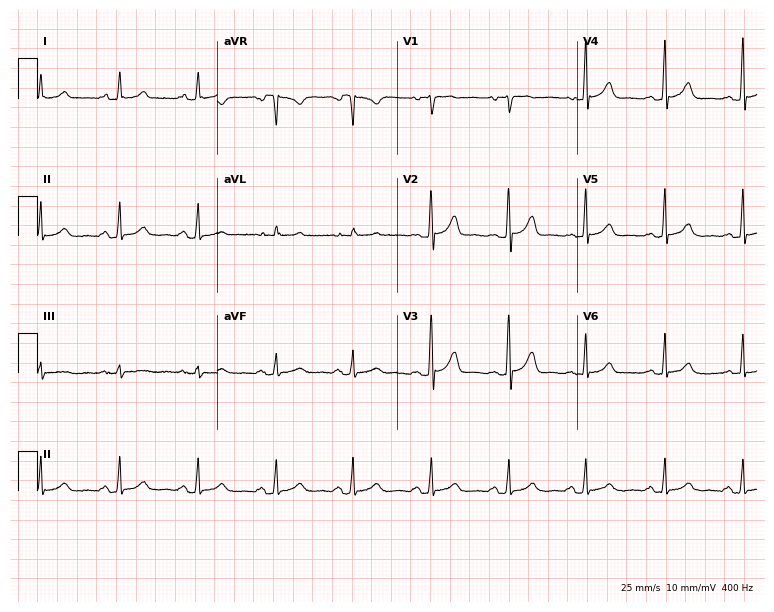
Resting 12-lead electrocardiogram. Patient: a female, 19 years old. Read as a normal ECG.